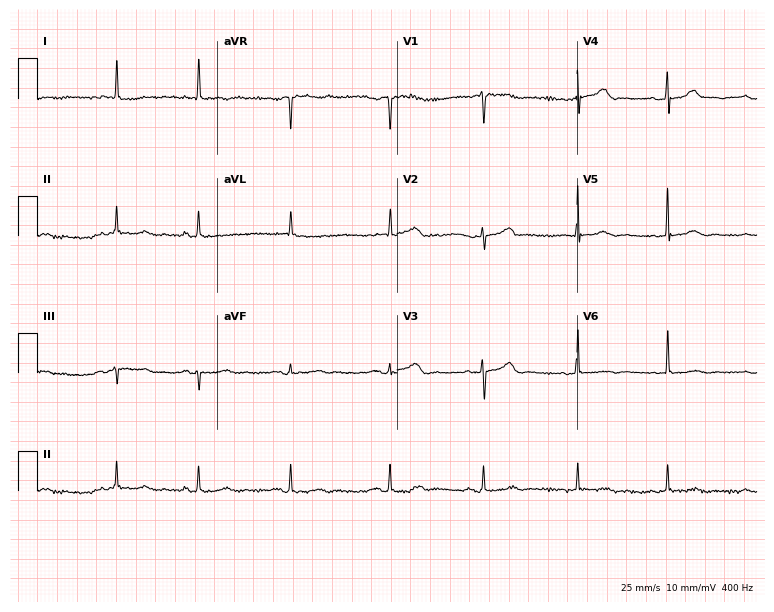
Electrocardiogram (7.3-second recording at 400 Hz), a female, 77 years old. Of the six screened findings (first-degree AV block, right bundle branch block, left bundle branch block, sinus bradycardia, atrial fibrillation, sinus tachycardia), none is recorded.